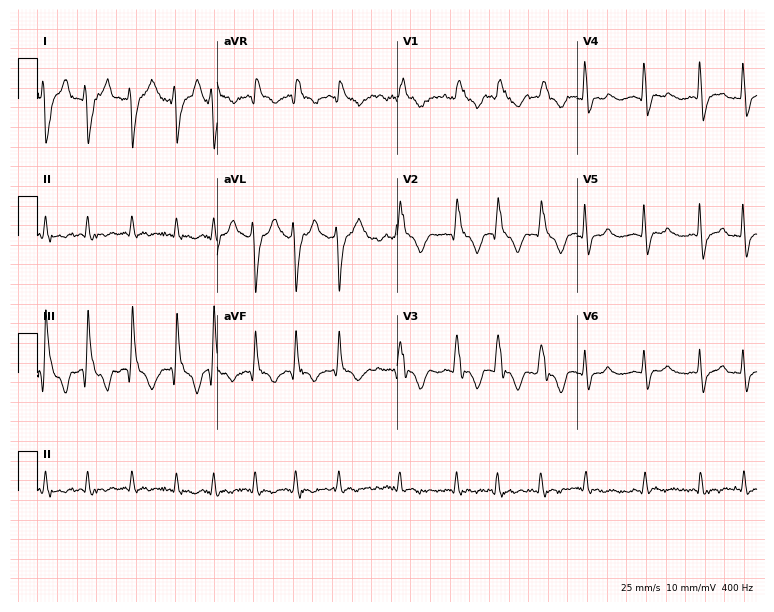
Resting 12-lead electrocardiogram (7.3-second recording at 400 Hz). Patient: a female, 57 years old. The tracing shows right bundle branch block, atrial fibrillation.